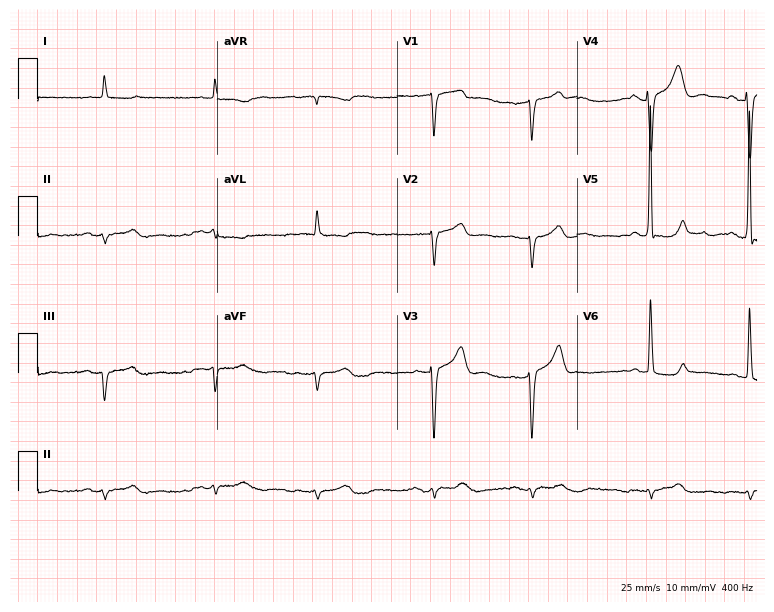
Standard 12-lead ECG recorded from a man, 79 years old (7.3-second recording at 400 Hz). None of these six findings is recorded: first-degree AV block, right bundle branch block (RBBB), left bundle branch block (LBBB), sinus bradycardia, atrial fibrillation (AF), sinus tachycardia.